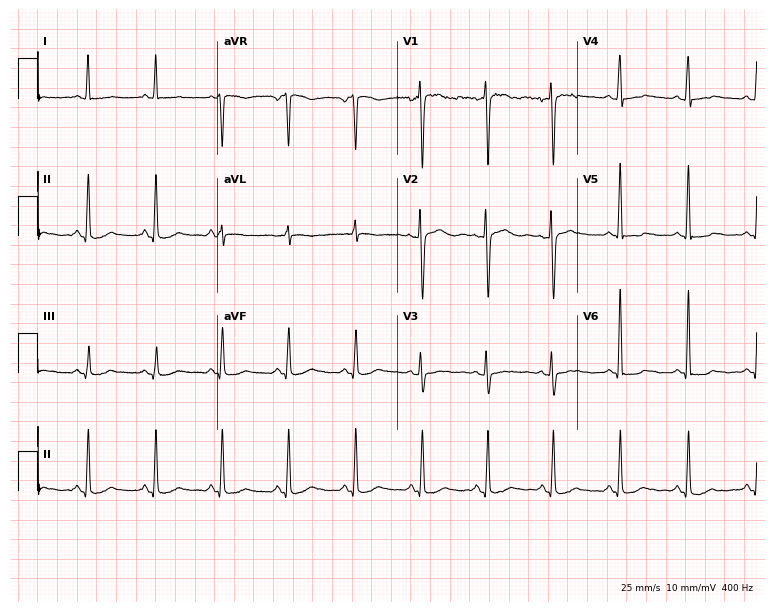
Electrocardiogram, a 35-year-old female patient. Of the six screened findings (first-degree AV block, right bundle branch block (RBBB), left bundle branch block (LBBB), sinus bradycardia, atrial fibrillation (AF), sinus tachycardia), none is recorded. Findings outside these six are not listed.